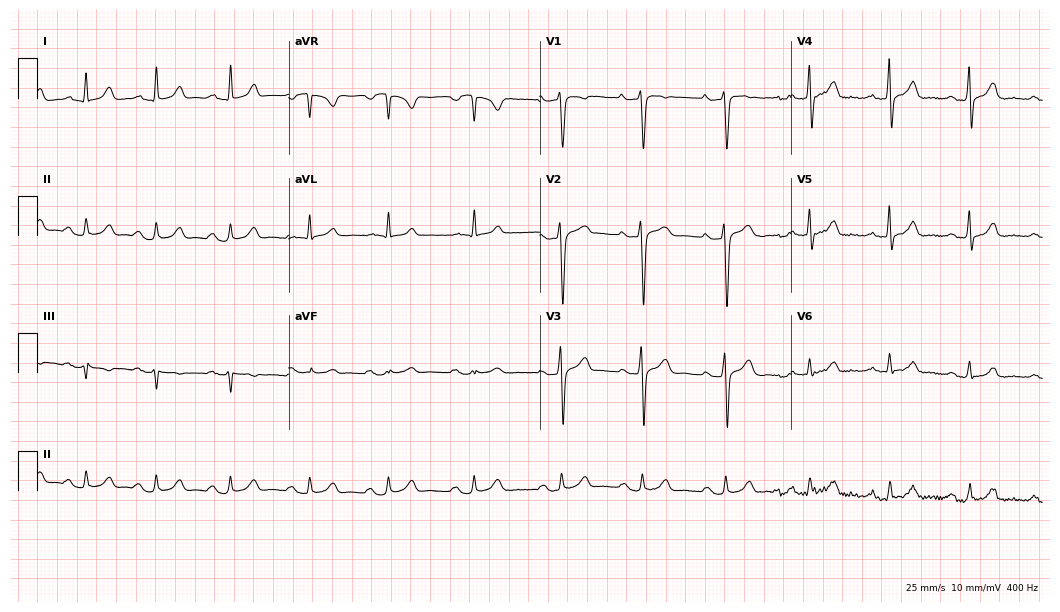
12-lead ECG from a male, 30 years old. Findings include first-degree AV block.